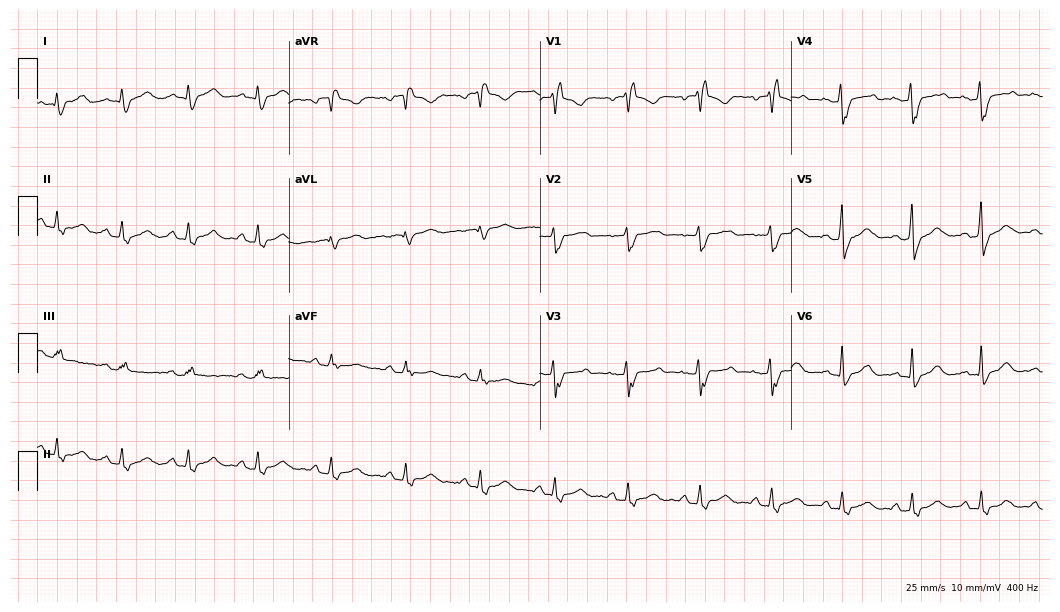
Standard 12-lead ECG recorded from a 38-year-old female patient. The tracing shows right bundle branch block.